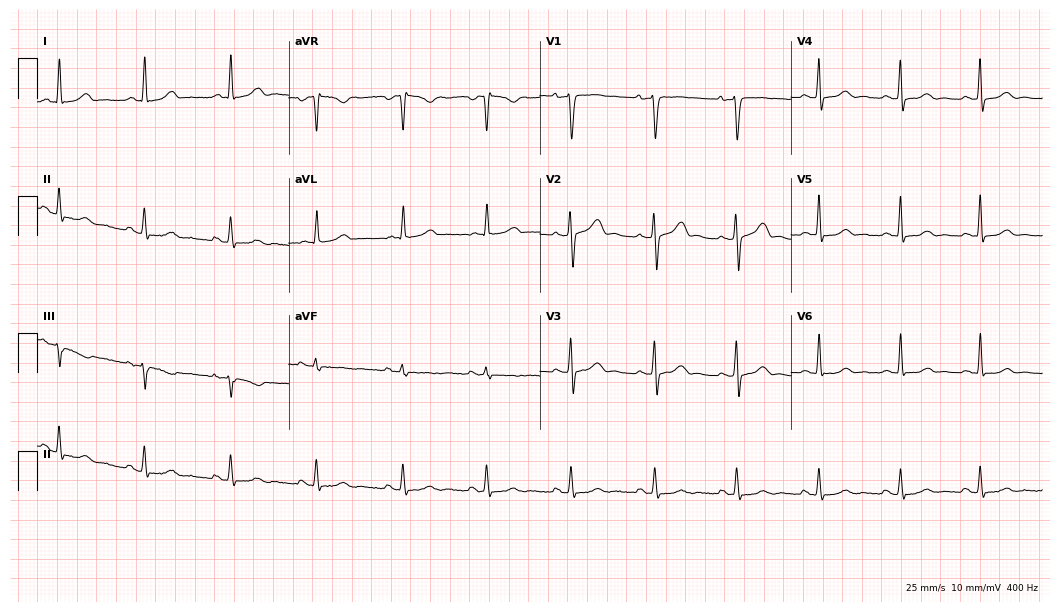
12-lead ECG from a female patient, 38 years old (10.2-second recording at 400 Hz). Recorded interpretation: within normal limits.